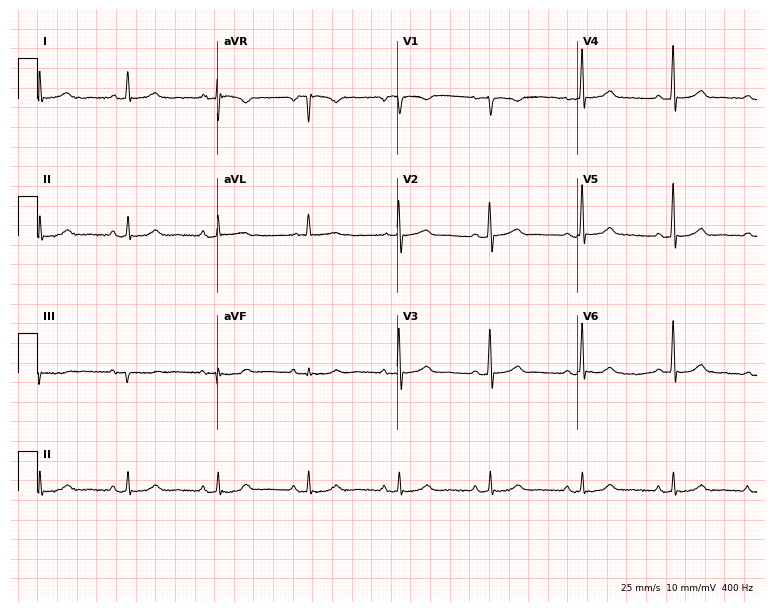
12-lead ECG from a woman, 56 years old. Screened for six findings — first-degree AV block, right bundle branch block (RBBB), left bundle branch block (LBBB), sinus bradycardia, atrial fibrillation (AF), sinus tachycardia — none is recorded. Other findings, if any, are not listed.